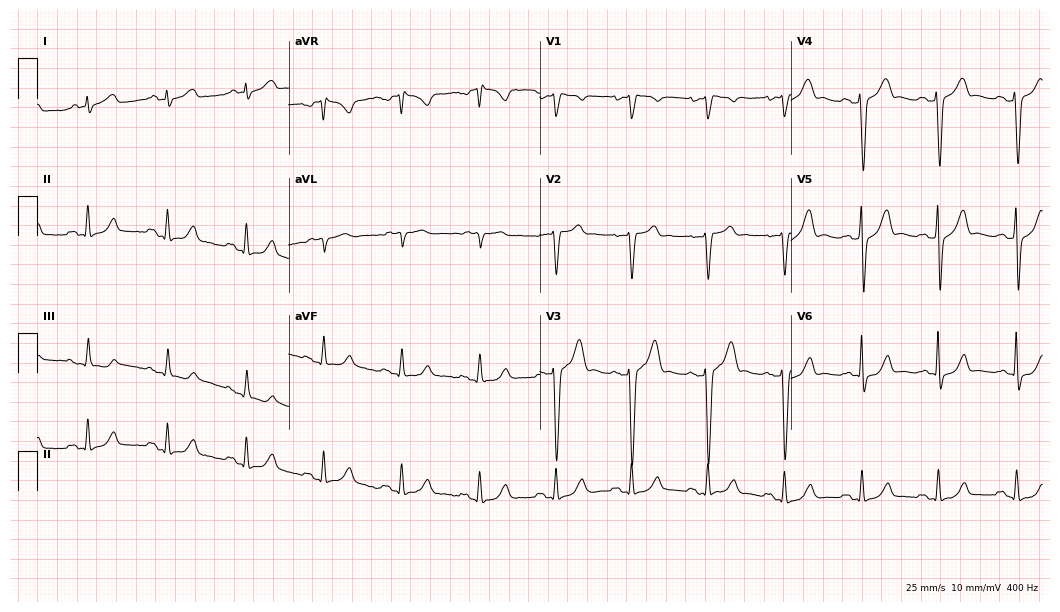
Resting 12-lead electrocardiogram (10.2-second recording at 400 Hz). Patient: a male, 55 years old. None of these six findings is recorded: first-degree AV block, right bundle branch block, left bundle branch block, sinus bradycardia, atrial fibrillation, sinus tachycardia. Only these six findings were labelled.